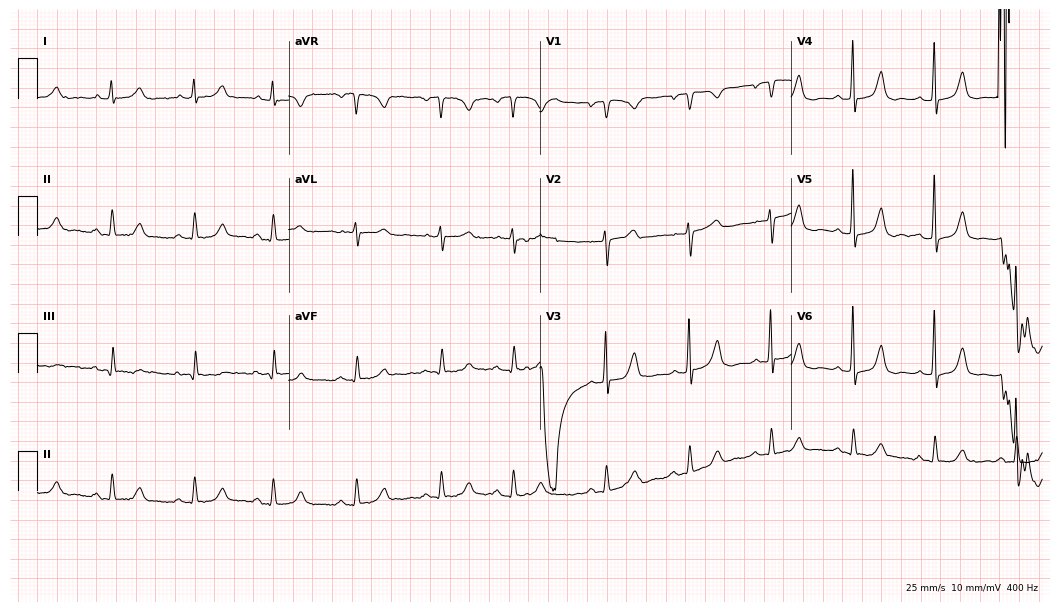
12-lead ECG from a female patient, 70 years old. Screened for six findings — first-degree AV block, right bundle branch block, left bundle branch block, sinus bradycardia, atrial fibrillation, sinus tachycardia — none is recorded.